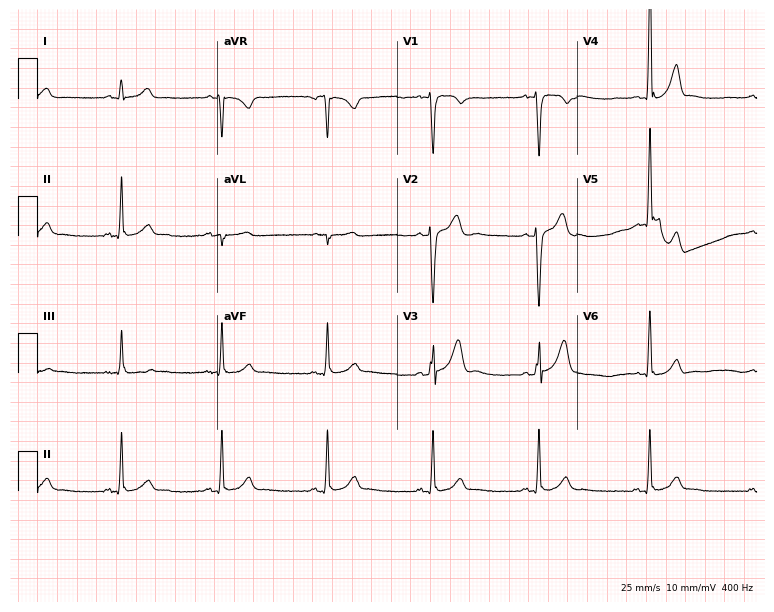
12-lead ECG from a 33-year-old man. Labelled as a normal ECG.